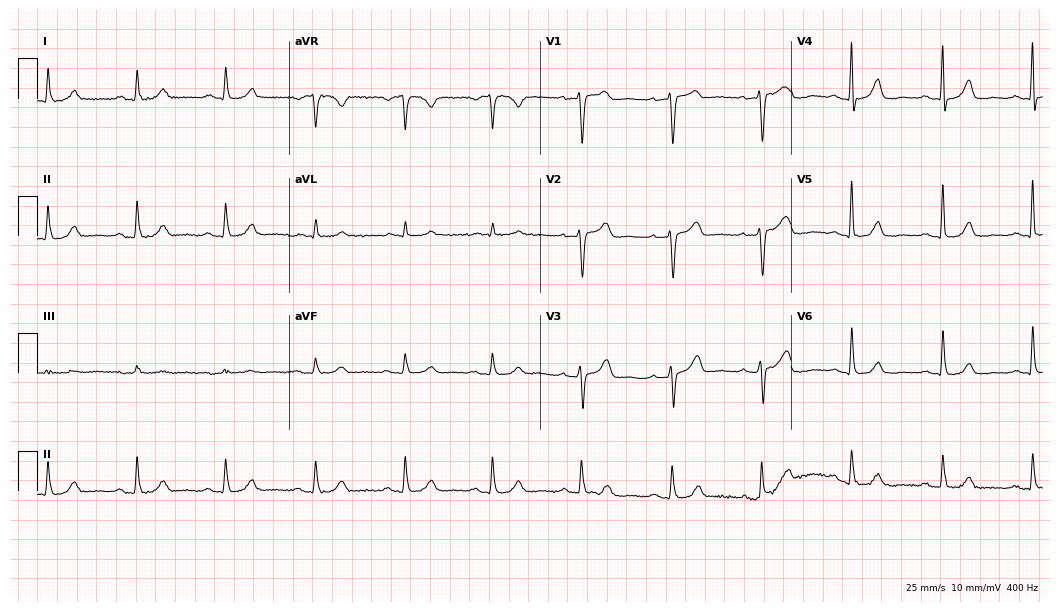
Standard 12-lead ECG recorded from a woman, 62 years old. Read as a normal ECG.